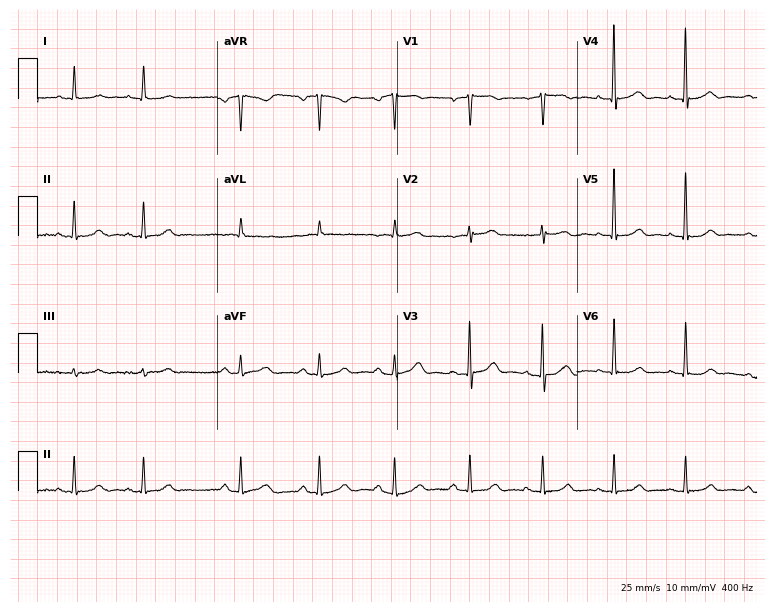
12-lead ECG (7.3-second recording at 400 Hz) from a 73-year-old female. Screened for six findings — first-degree AV block, right bundle branch block, left bundle branch block, sinus bradycardia, atrial fibrillation, sinus tachycardia — none is recorded.